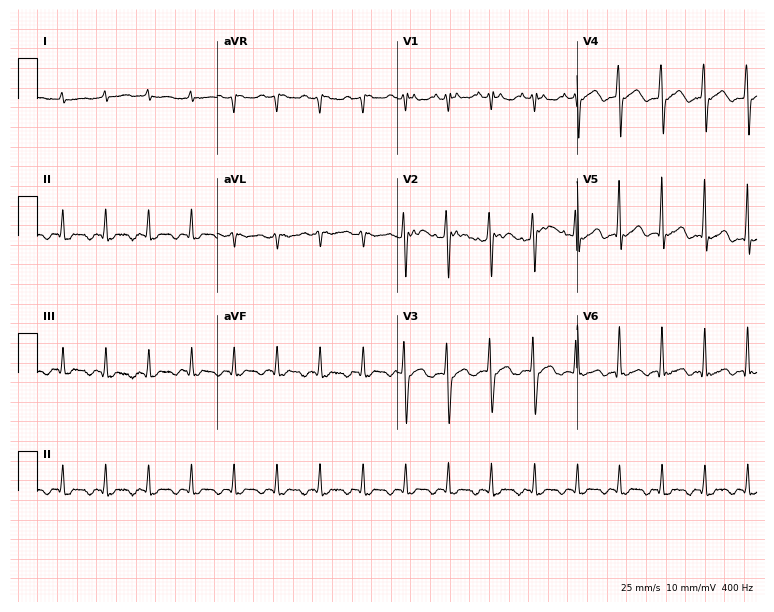
Standard 12-lead ECG recorded from a 43-year-old male. None of these six findings is recorded: first-degree AV block, right bundle branch block, left bundle branch block, sinus bradycardia, atrial fibrillation, sinus tachycardia.